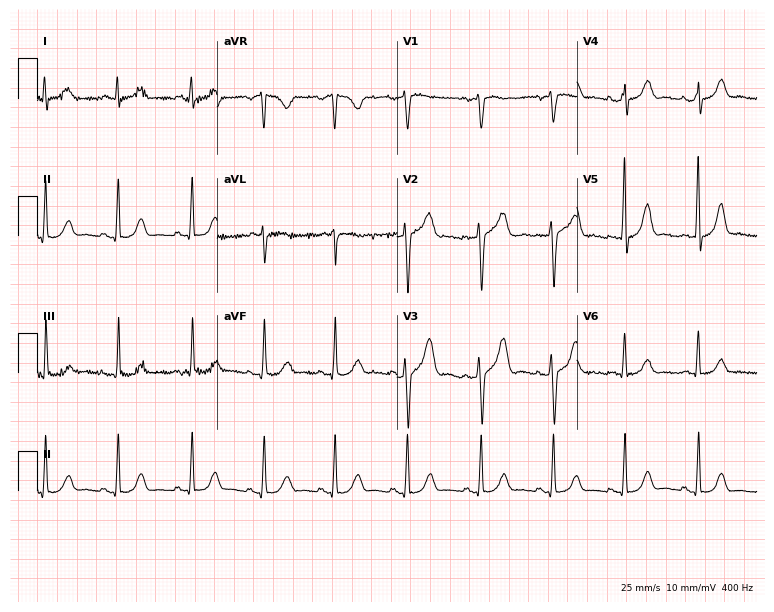
12-lead ECG from a female patient, 49 years old. Labelled as a normal ECG.